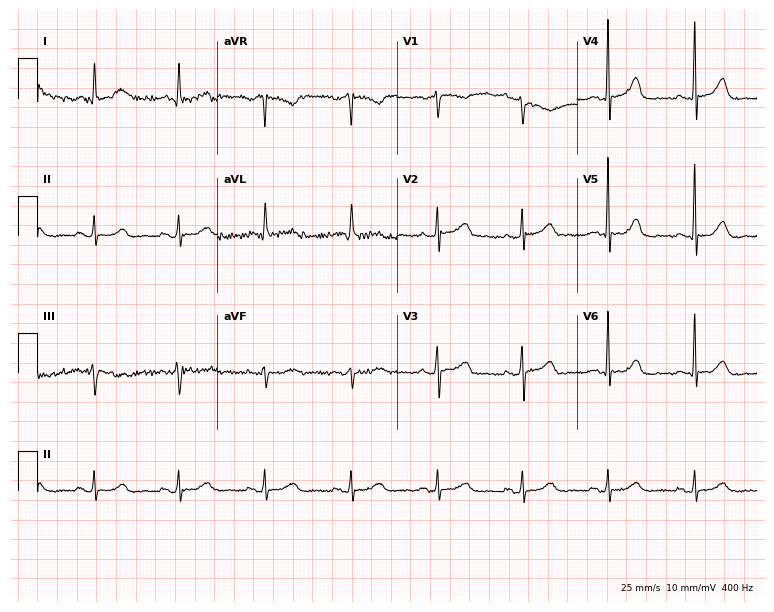
Electrocardiogram (7.3-second recording at 400 Hz), a 63-year-old female. Of the six screened findings (first-degree AV block, right bundle branch block, left bundle branch block, sinus bradycardia, atrial fibrillation, sinus tachycardia), none is recorded.